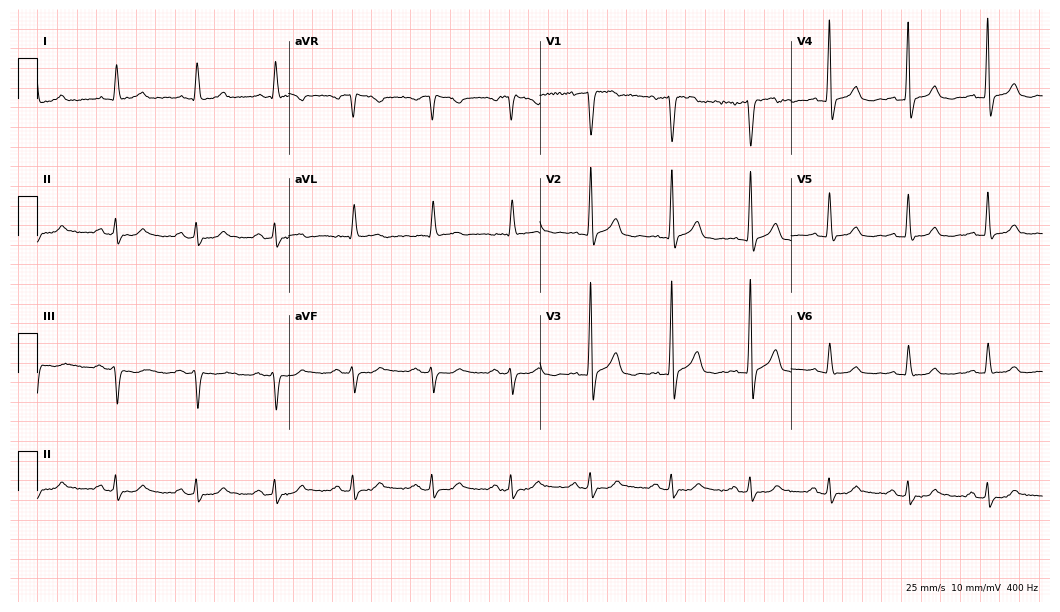
Resting 12-lead electrocardiogram. Patient: a male, 71 years old. Read as a normal ECG.